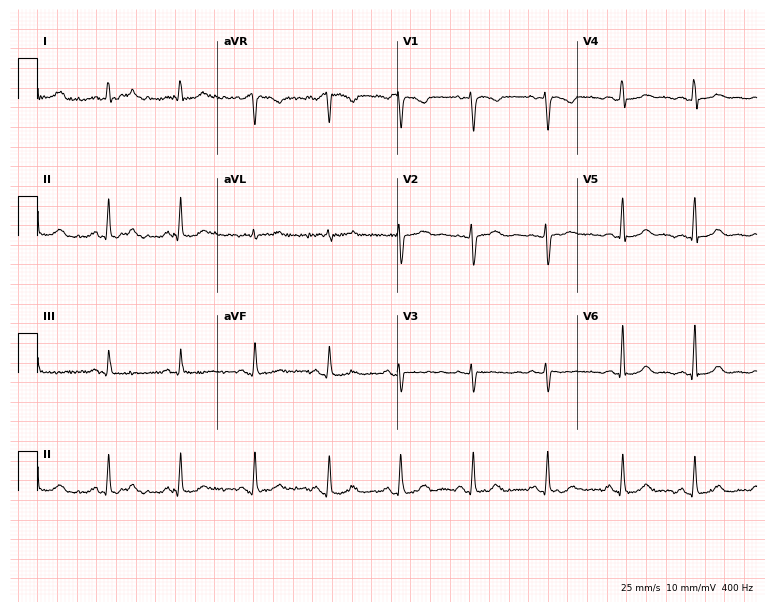
ECG — a 41-year-old female. Labelled as a normal ECG.